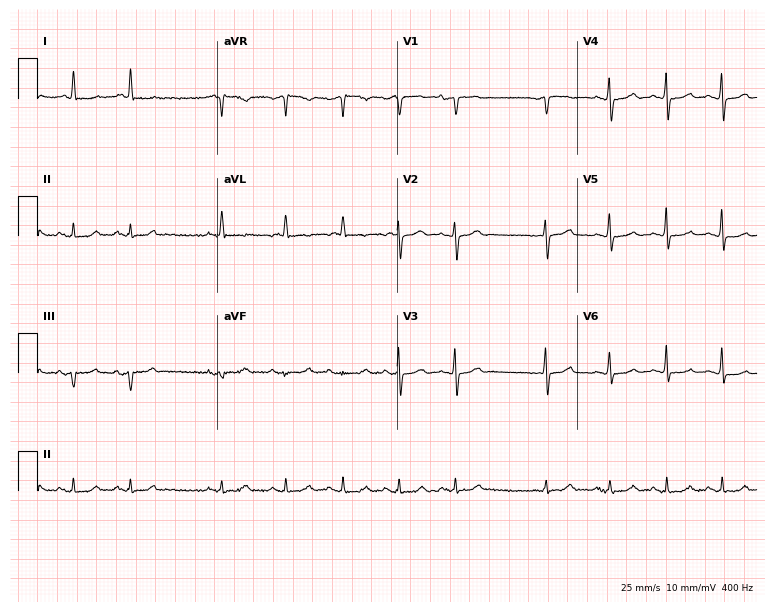
Electrocardiogram, a 79-year-old female. Of the six screened findings (first-degree AV block, right bundle branch block, left bundle branch block, sinus bradycardia, atrial fibrillation, sinus tachycardia), none is recorded.